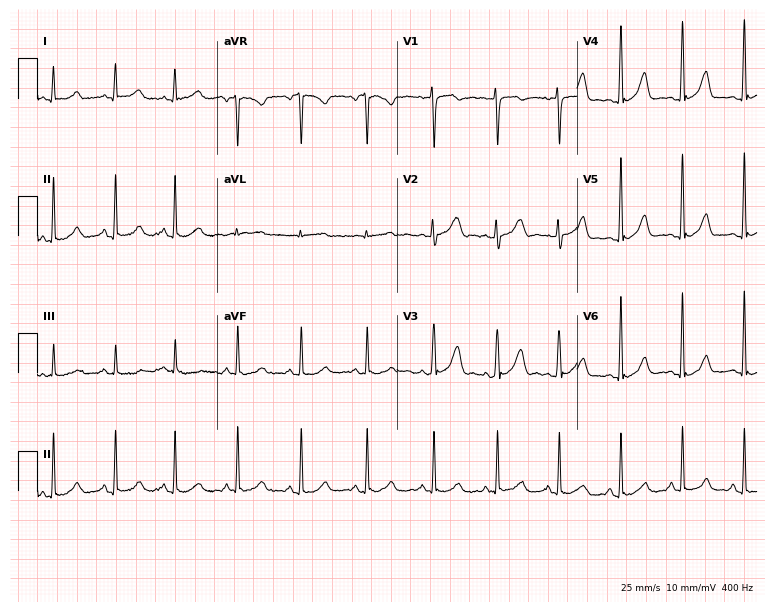
12-lead ECG from a 29-year-old female patient. No first-degree AV block, right bundle branch block, left bundle branch block, sinus bradycardia, atrial fibrillation or sinus tachycardia recorded for this tracing.